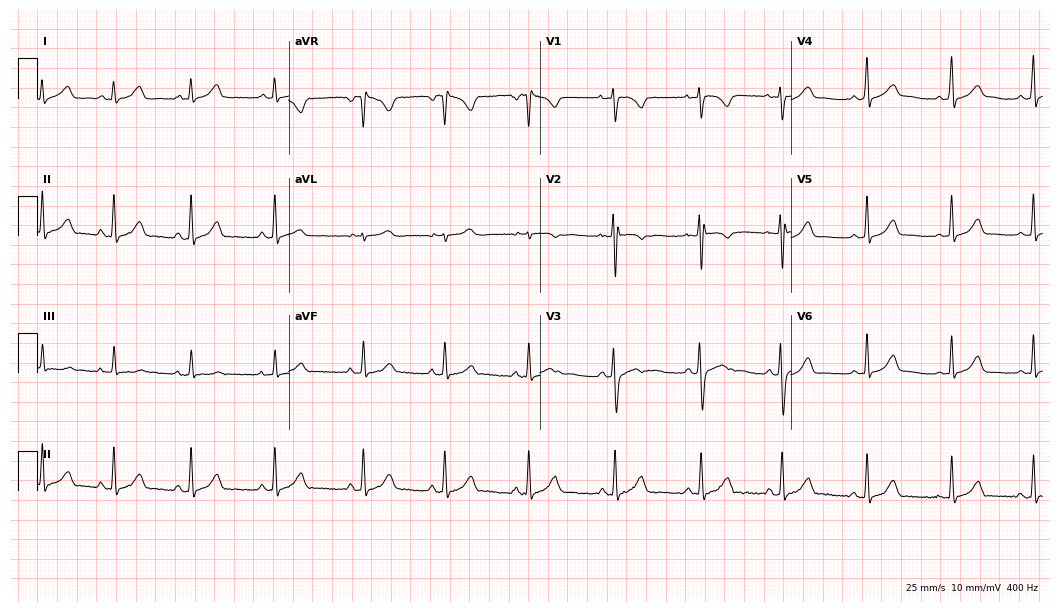
Resting 12-lead electrocardiogram. Patient: a female, 28 years old. Read as a normal ECG.